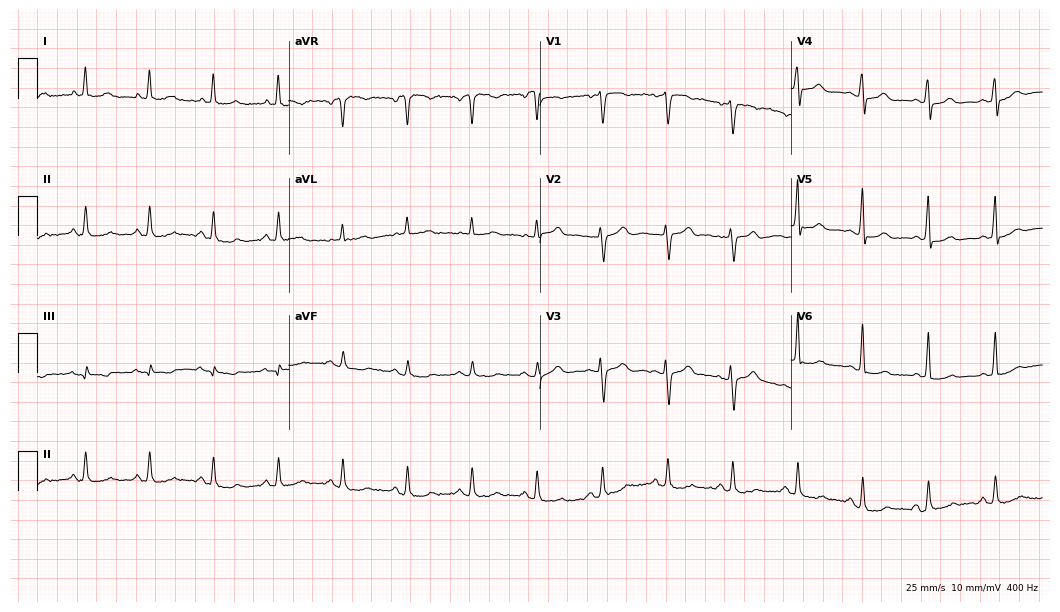
12-lead ECG from a woman, 77 years old. Screened for six findings — first-degree AV block, right bundle branch block, left bundle branch block, sinus bradycardia, atrial fibrillation, sinus tachycardia — none is recorded.